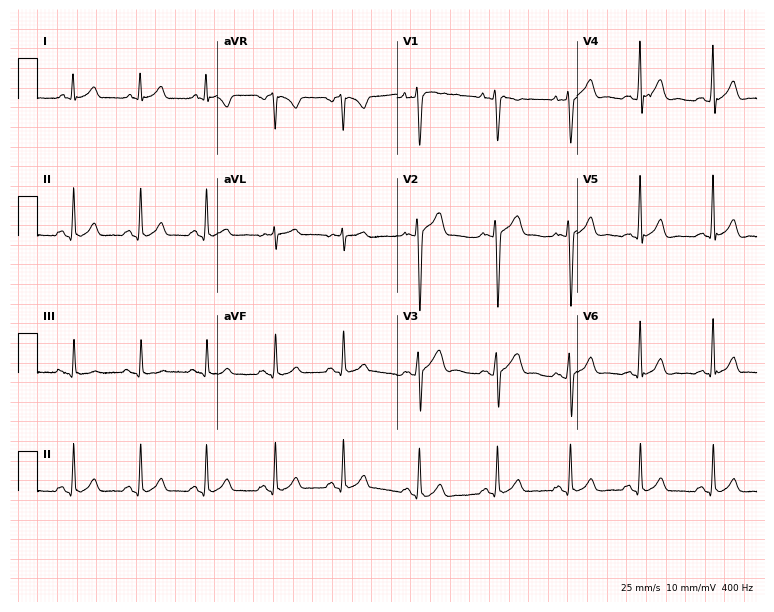
Standard 12-lead ECG recorded from a man, 19 years old (7.3-second recording at 400 Hz). Read as a normal ECG.